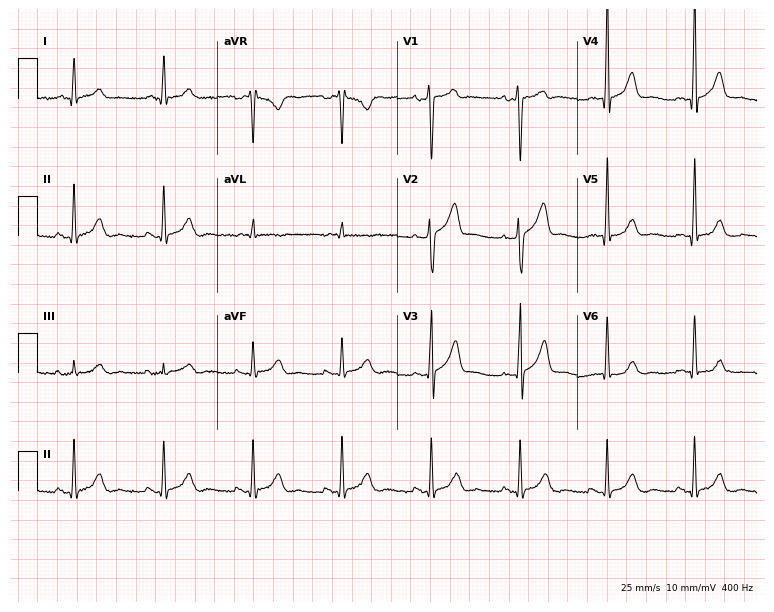
12-lead ECG from a man, 59 years old (7.3-second recording at 400 Hz). No first-degree AV block, right bundle branch block, left bundle branch block, sinus bradycardia, atrial fibrillation or sinus tachycardia recorded for this tracing.